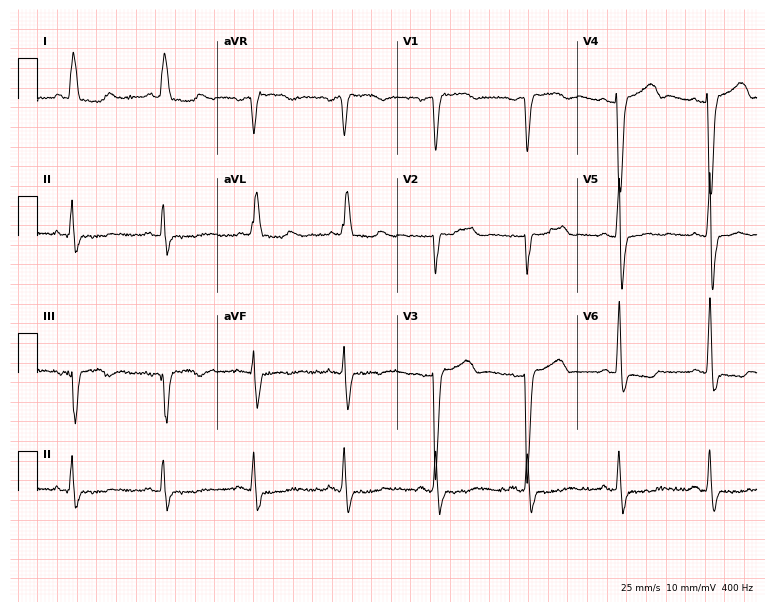
ECG (7.3-second recording at 400 Hz) — a female, 78 years old. Screened for six findings — first-degree AV block, right bundle branch block, left bundle branch block, sinus bradycardia, atrial fibrillation, sinus tachycardia — none is recorded.